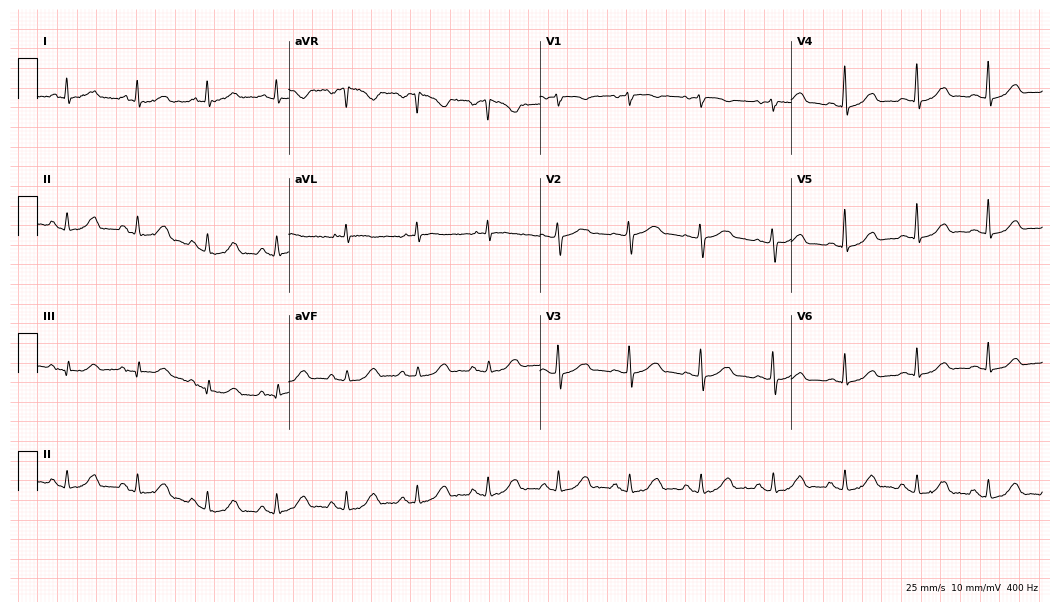
Resting 12-lead electrocardiogram (10.2-second recording at 400 Hz). Patient: a 70-year-old female. None of these six findings is recorded: first-degree AV block, right bundle branch block, left bundle branch block, sinus bradycardia, atrial fibrillation, sinus tachycardia. Only these six findings were labelled.